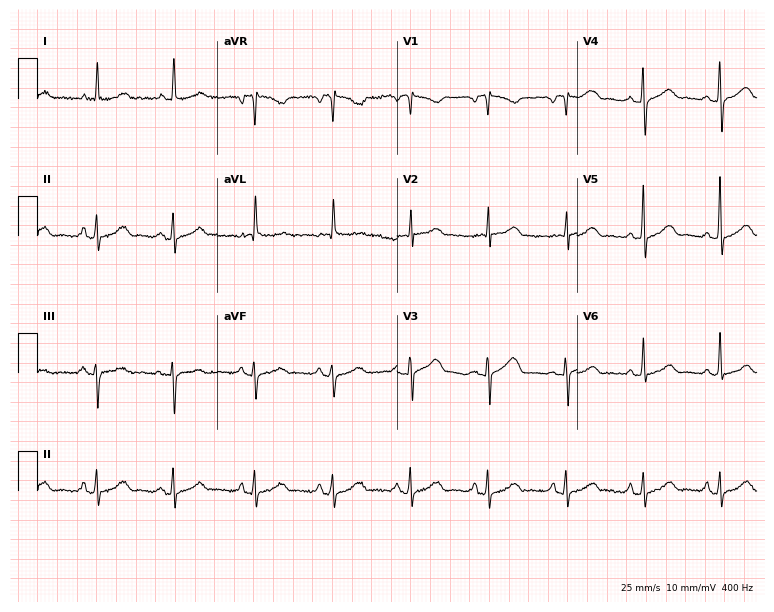
ECG — a female, 60 years old. Labelled as a normal ECG.